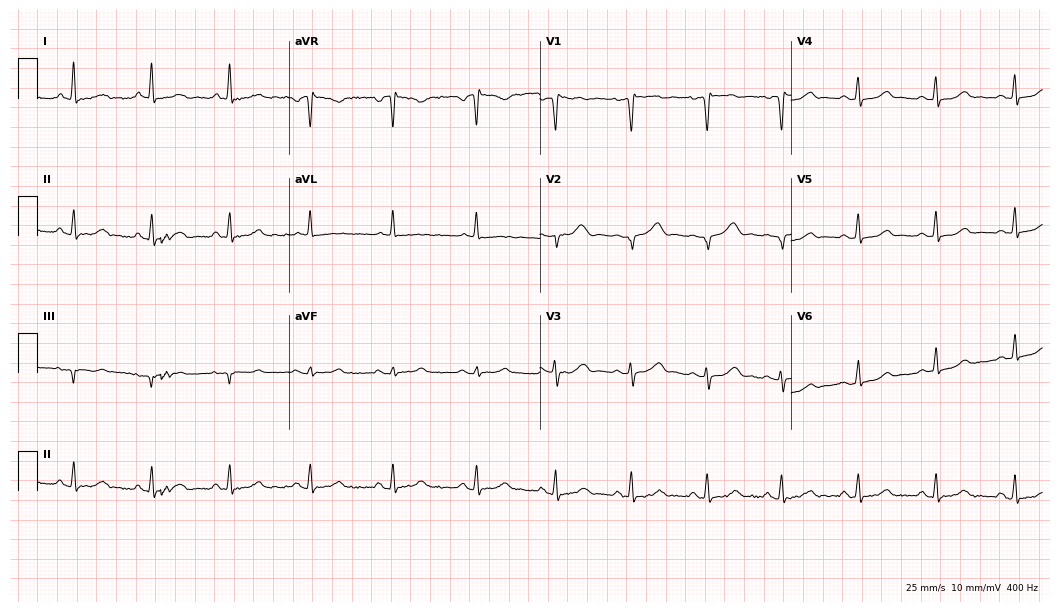
Resting 12-lead electrocardiogram (10.2-second recording at 400 Hz). Patient: a 54-year-old female. Read as a normal ECG.